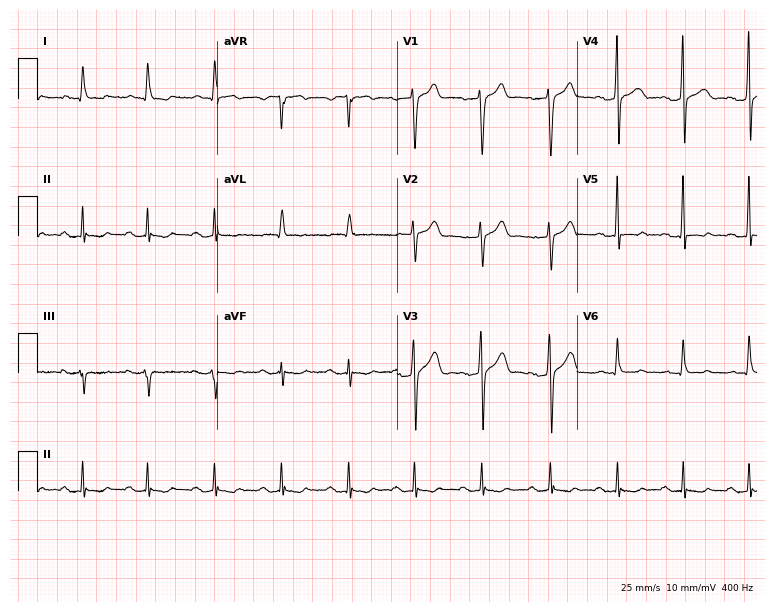
Electrocardiogram, a 44-year-old male. Overall reading on record: normal ECG.